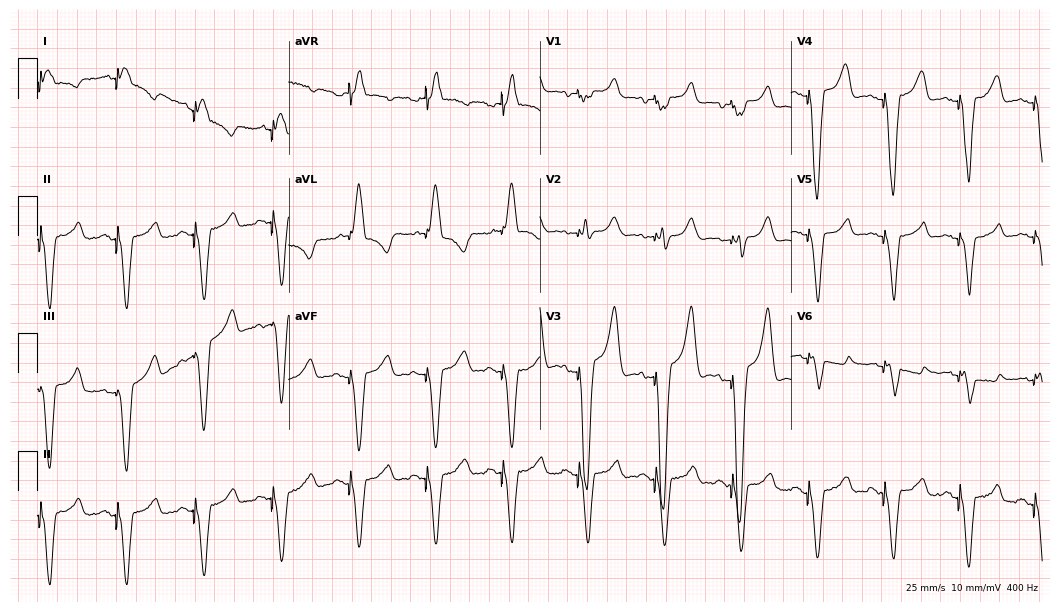
12-lead ECG from an 84-year-old male patient. No first-degree AV block, right bundle branch block (RBBB), left bundle branch block (LBBB), sinus bradycardia, atrial fibrillation (AF) or sinus tachycardia recorded for this tracing. Other findings, if any, are not listed.